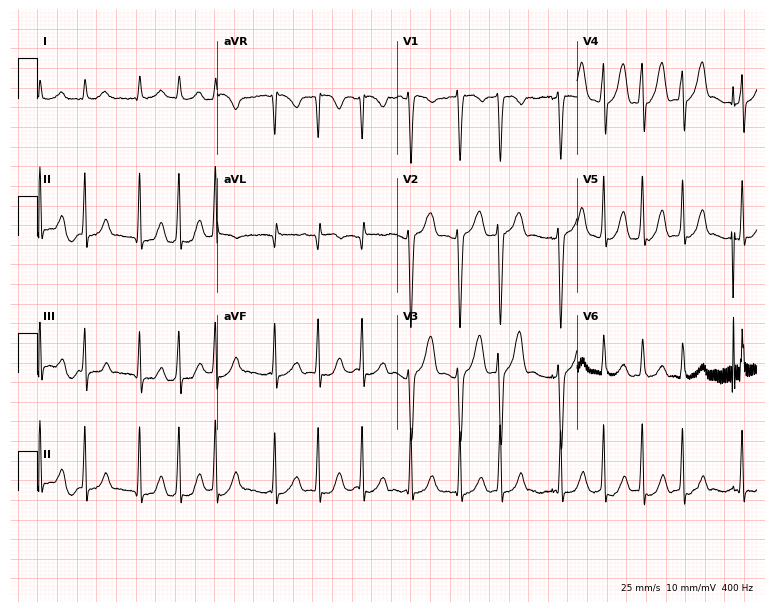
12-lead ECG from a 72-year-old man. Findings include atrial fibrillation (AF), sinus tachycardia (a sinus rate of 100 beats per minute or more).